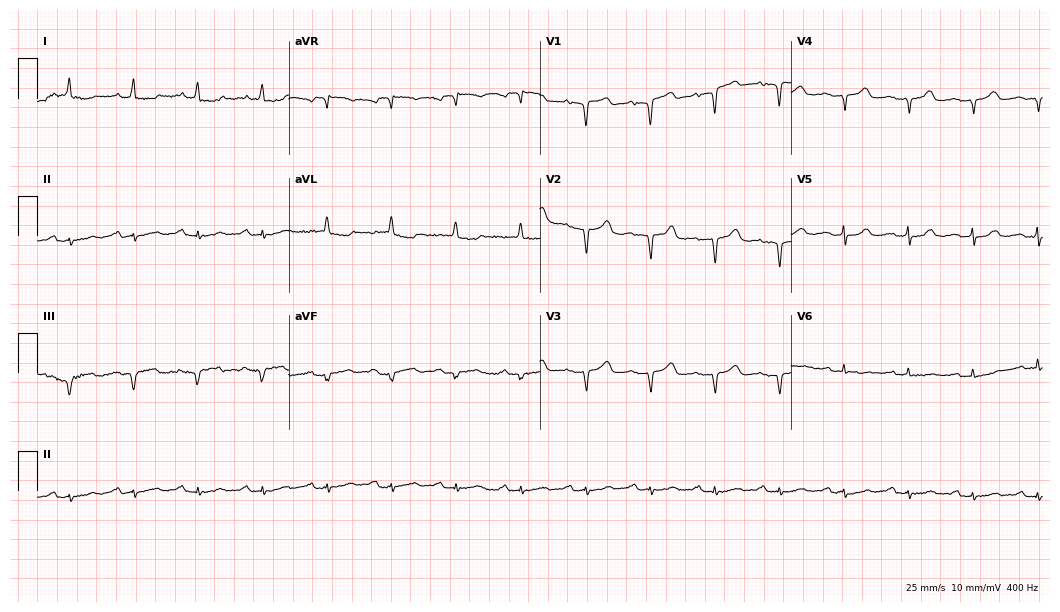
ECG (10.2-second recording at 400 Hz) — a 65-year-old female. Labelled as a normal ECG.